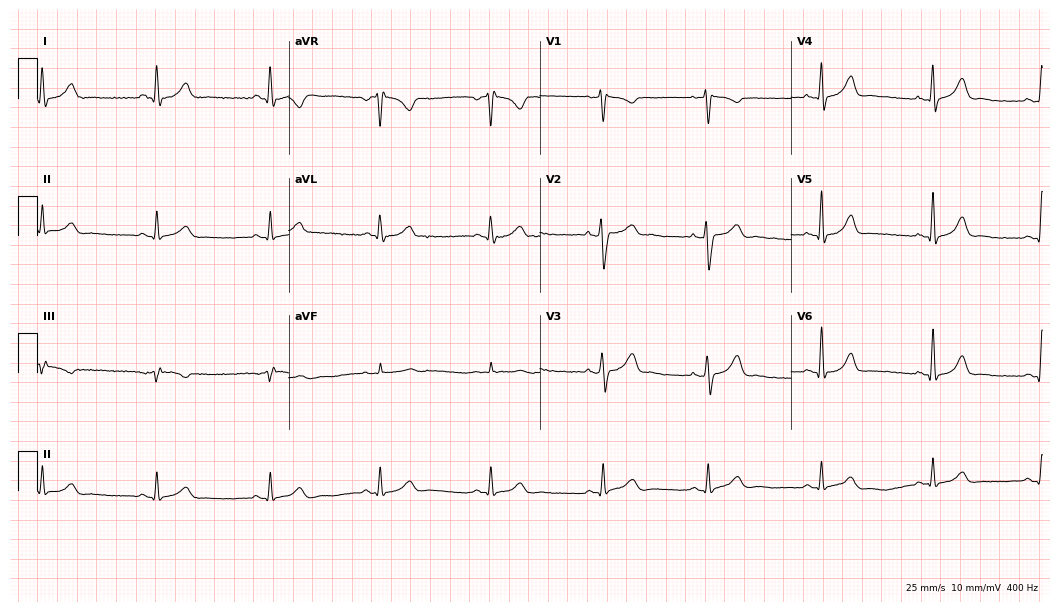
ECG — a 38-year-old female. Labelled as a normal ECG.